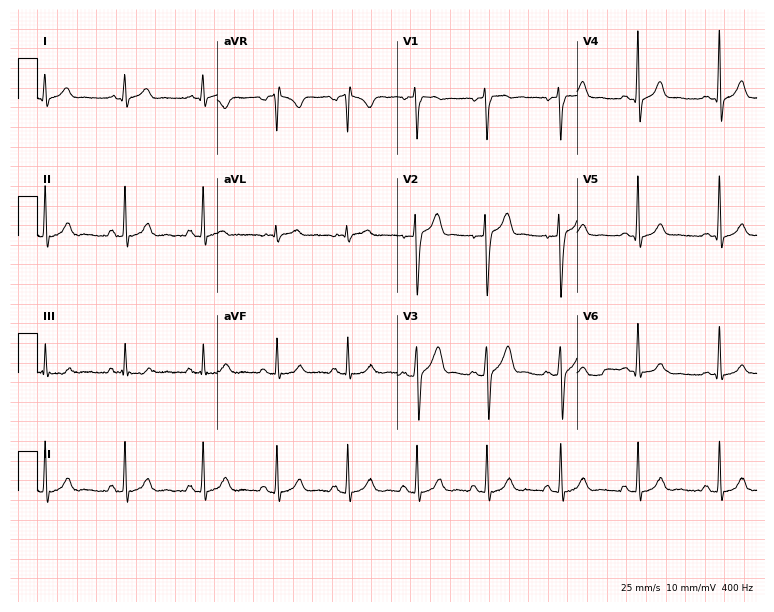
12-lead ECG from a male patient, 23 years old. Recorded interpretation: within normal limits.